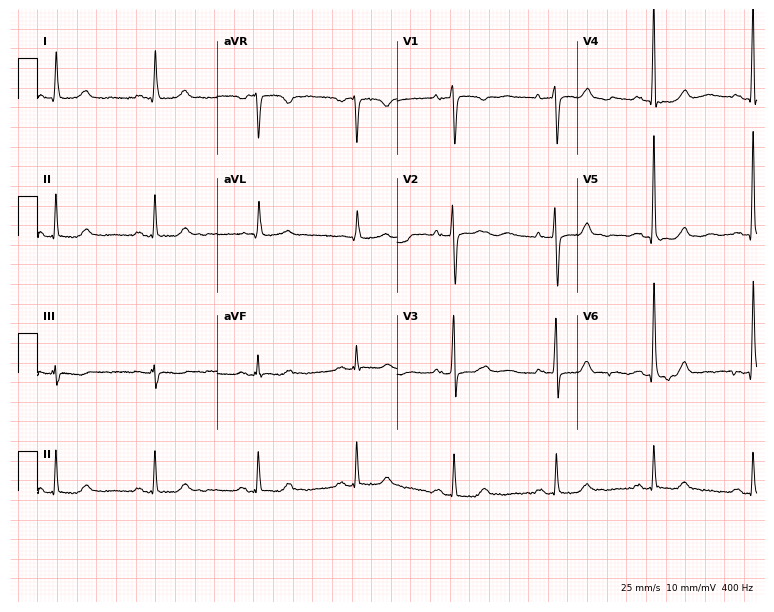
Standard 12-lead ECG recorded from a female patient, 63 years old. Read as a normal ECG.